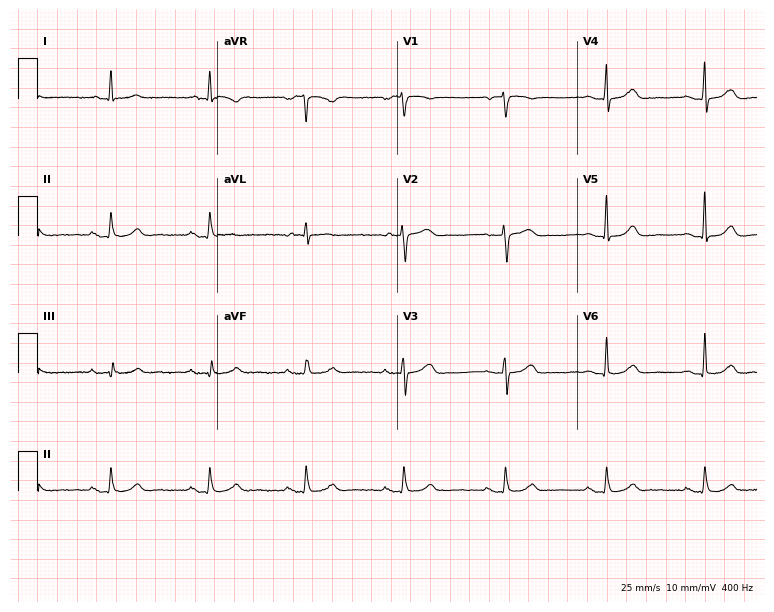
Electrocardiogram (7.3-second recording at 400 Hz), a 69-year-old female. Overall reading on record: normal ECG.